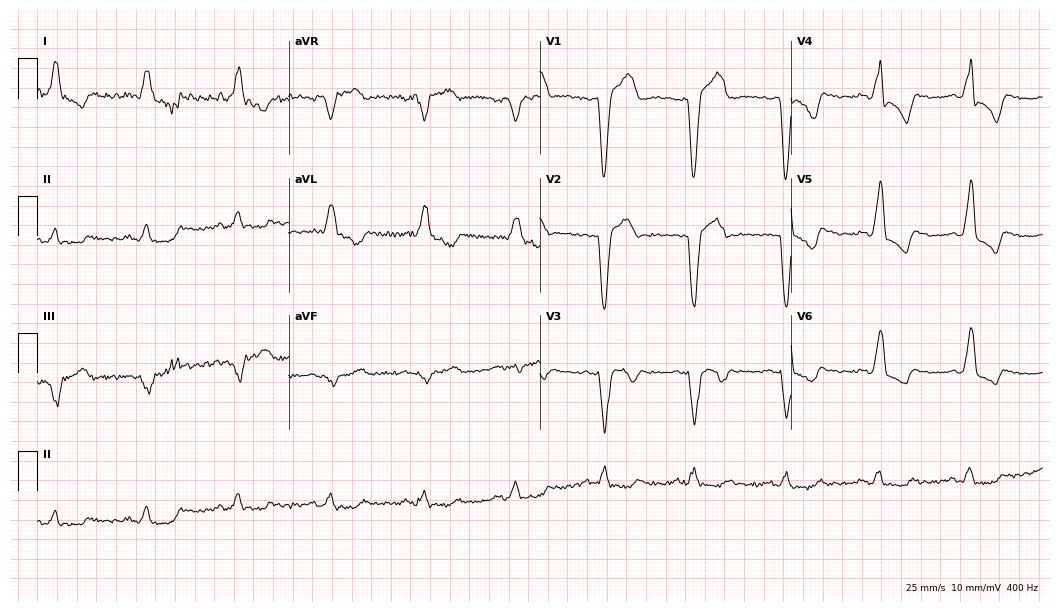
12-lead ECG (10.2-second recording at 400 Hz) from a male, 62 years old. Screened for six findings — first-degree AV block, right bundle branch block, left bundle branch block, sinus bradycardia, atrial fibrillation, sinus tachycardia — none is recorded.